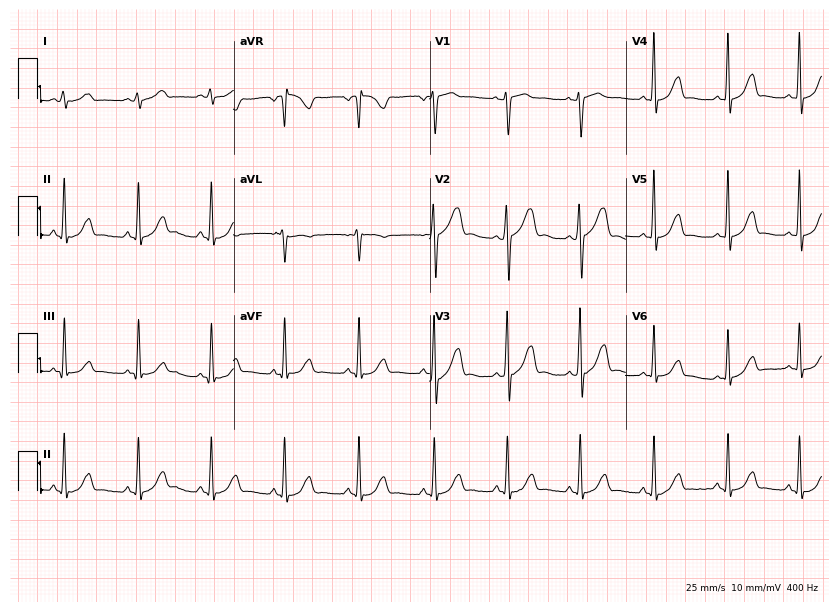
12-lead ECG from a 29-year-old female. Recorded interpretation: within normal limits.